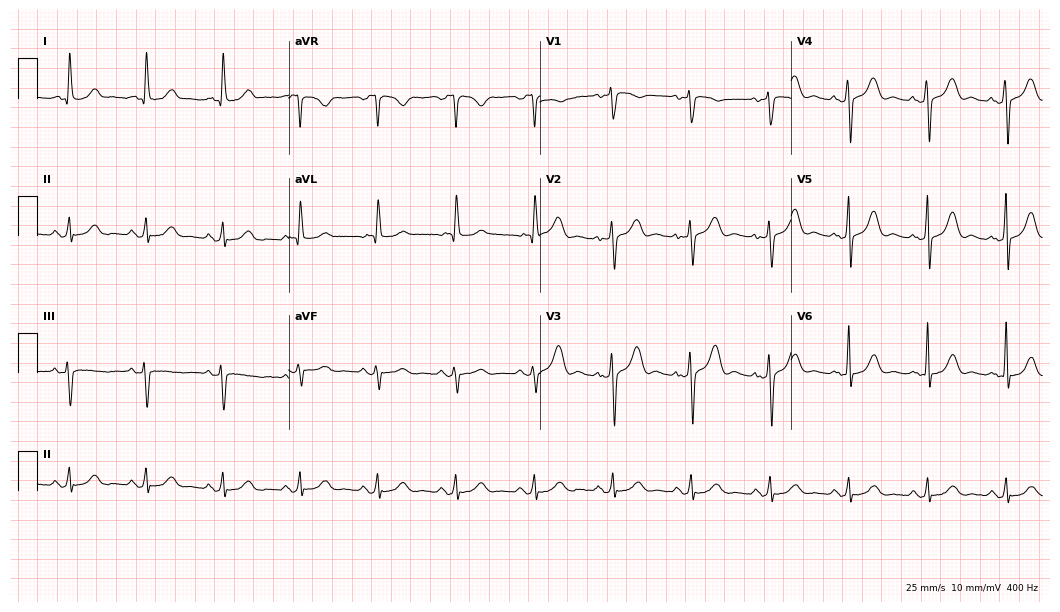
ECG (10.2-second recording at 400 Hz) — an 83-year-old female patient. Screened for six findings — first-degree AV block, right bundle branch block (RBBB), left bundle branch block (LBBB), sinus bradycardia, atrial fibrillation (AF), sinus tachycardia — none is recorded. Other findings, if any, are not listed.